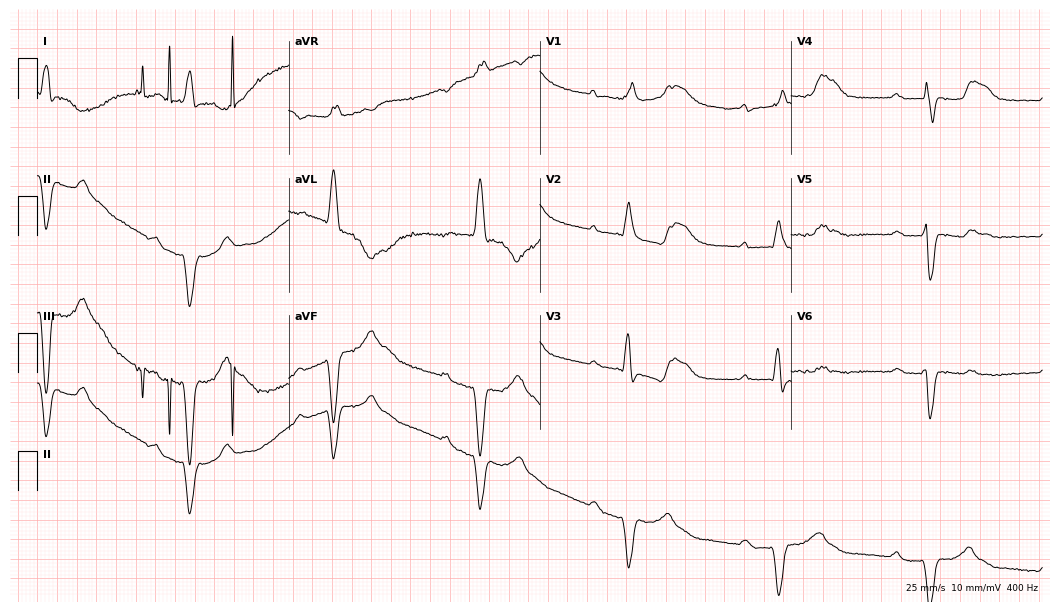
Standard 12-lead ECG recorded from a male, 81 years old (10.2-second recording at 400 Hz). The tracing shows right bundle branch block (RBBB).